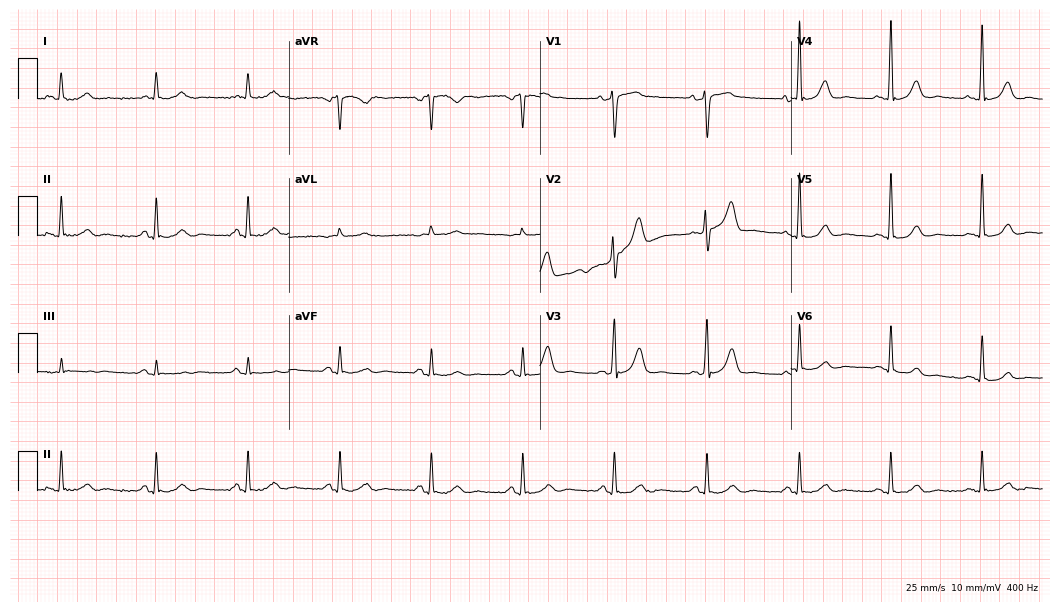
12-lead ECG from a 62-year-old male patient (10.2-second recording at 400 Hz). Recorded interpretation: within normal limits.